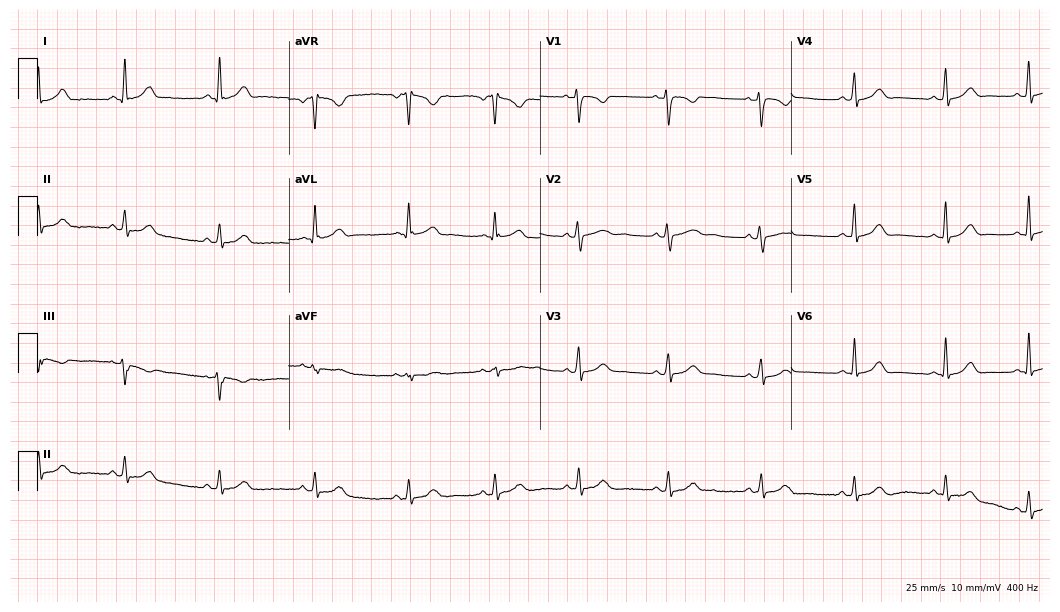
12-lead ECG from a female patient, 34 years old (10.2-second recording at 400 Hz). Recorded interpretation: within normal limits.